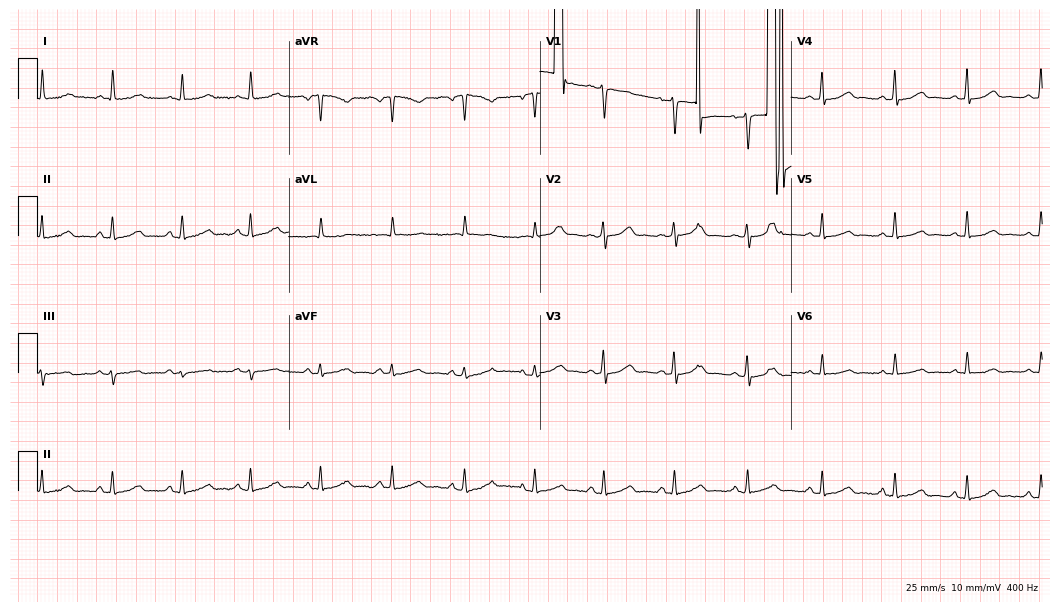
12-lead ECG from a 53-year-old woman (10.2-second recording at 400 Hz). No first-degree AV block, right bundle branch block, left bundle branch block, sinus bradycardia, atrial fibrillation or sinus tachycardia recorded for this tracing. Other findings, if any, are not listed.